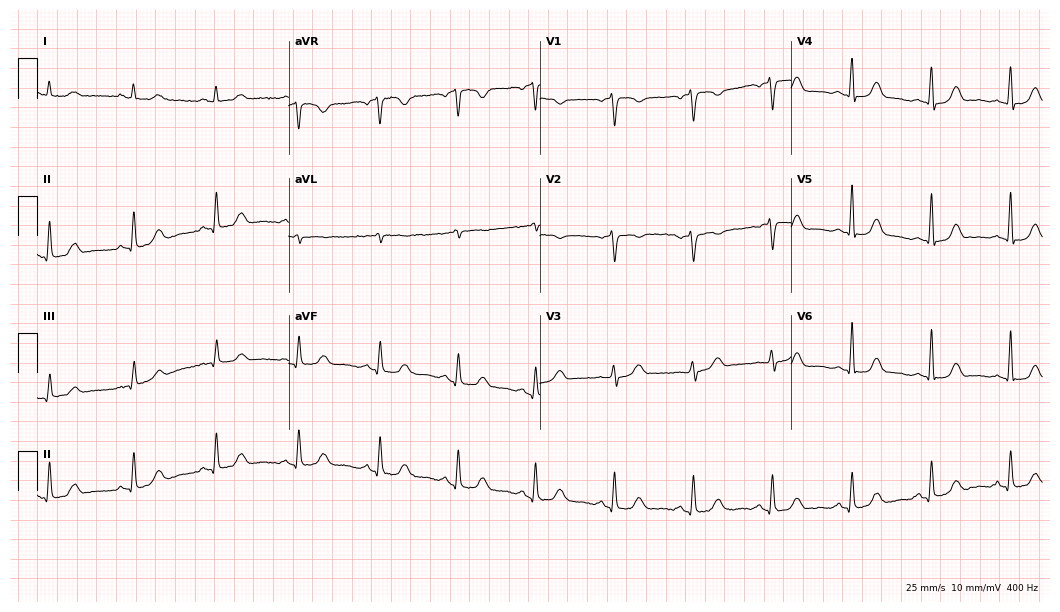
Standard 12-lead ECG recorded from a 53-year-old female patient (10.2-second recording at 400 Hz). Read as a normal ECG.